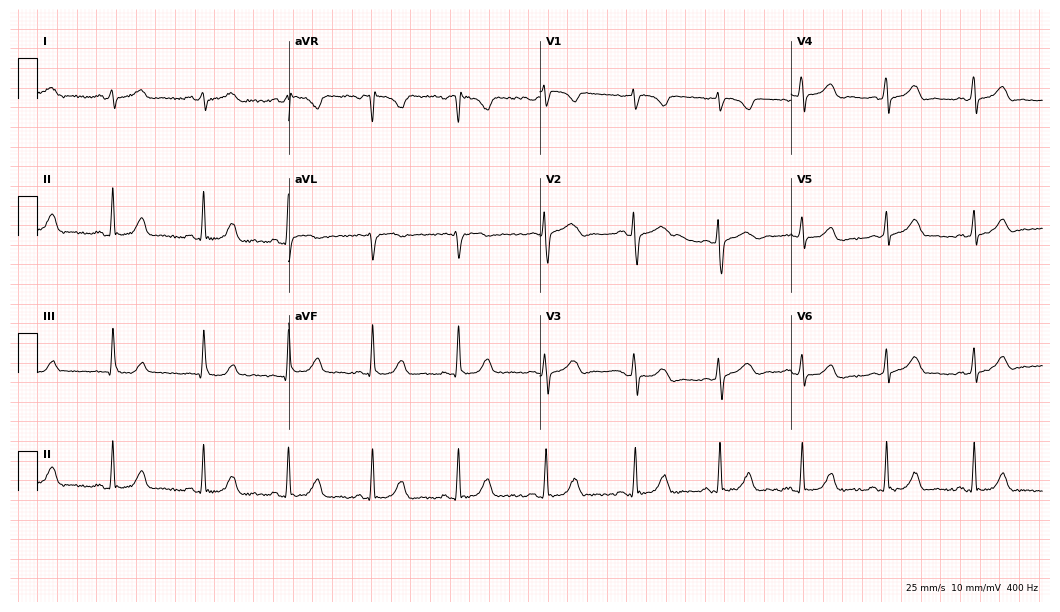
12-lead ECG (10.2-second recording at 400 Hz) from a female, 23 years old. Labelled as a normal ECG.